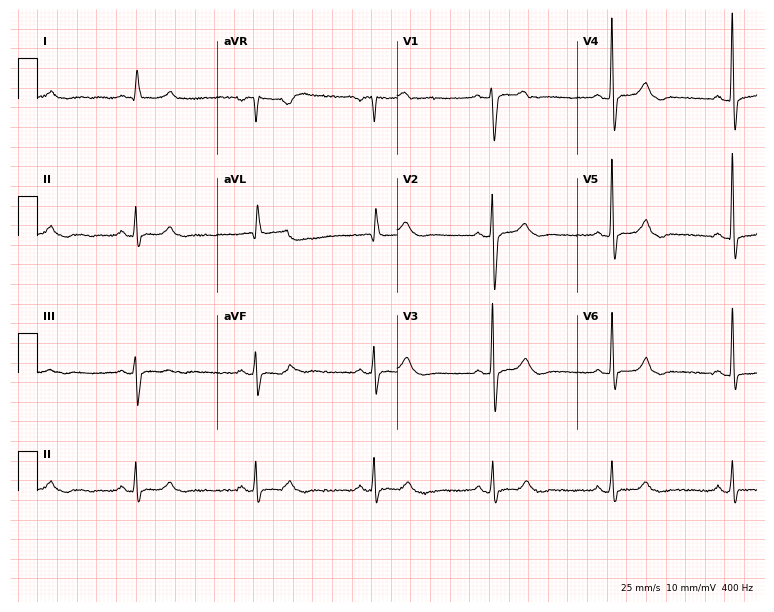
12-lead ECG (7.3-second recording at 400 Hz) from a male, 78 years old. Findings include sinus bradycardia (a sinus rate of 50 beats per minute or less).